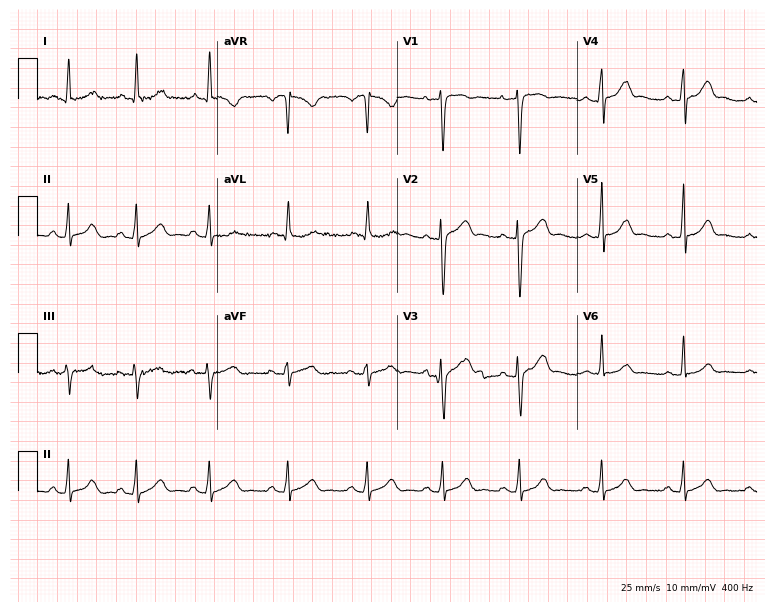
Standard 12-lead ECG recorded from a female patient, 23 years old (7.3-second recording at 400 Hz). None of these six findings is recorded: first-degree AV block, right bundle branch block (RBBB), left bundle branch block (LBBB), sinus bradycardia, atrial fibrillation (AF), sinus tachycardia.